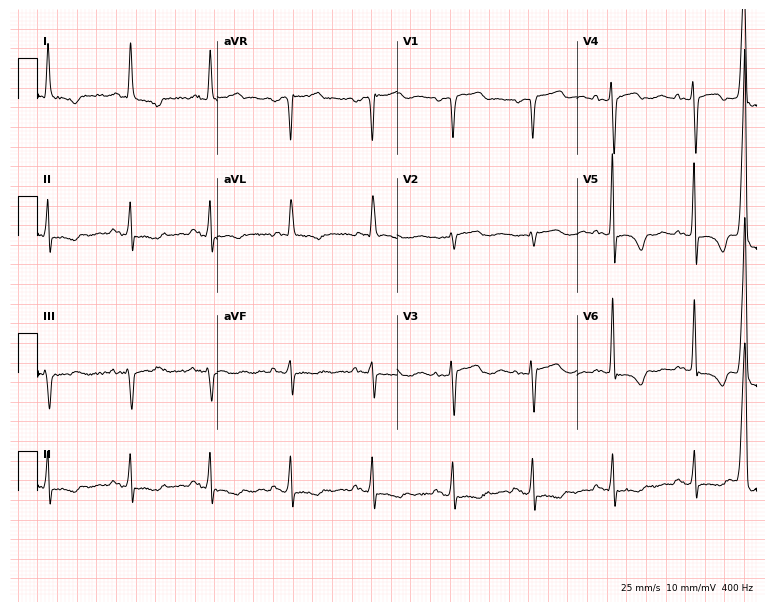
ECG — a female patient, 65 years old. Screened for six findings — first-degree AV block, right bundle branch block, left bundle branch block, sinus bradycardia, atrial fibrillation, sinus tachycardia — none is recorded.